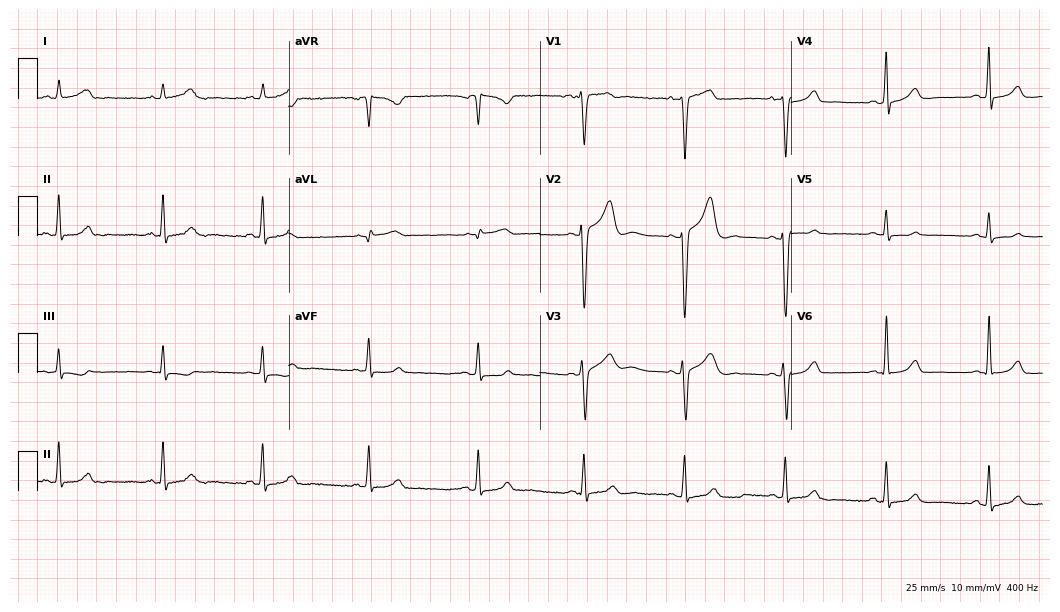
Resting 12-lead electrocardiogram (10.2-second recording at 400 Hz). Patient: a 23-year-old male. Read as a normal ECG.